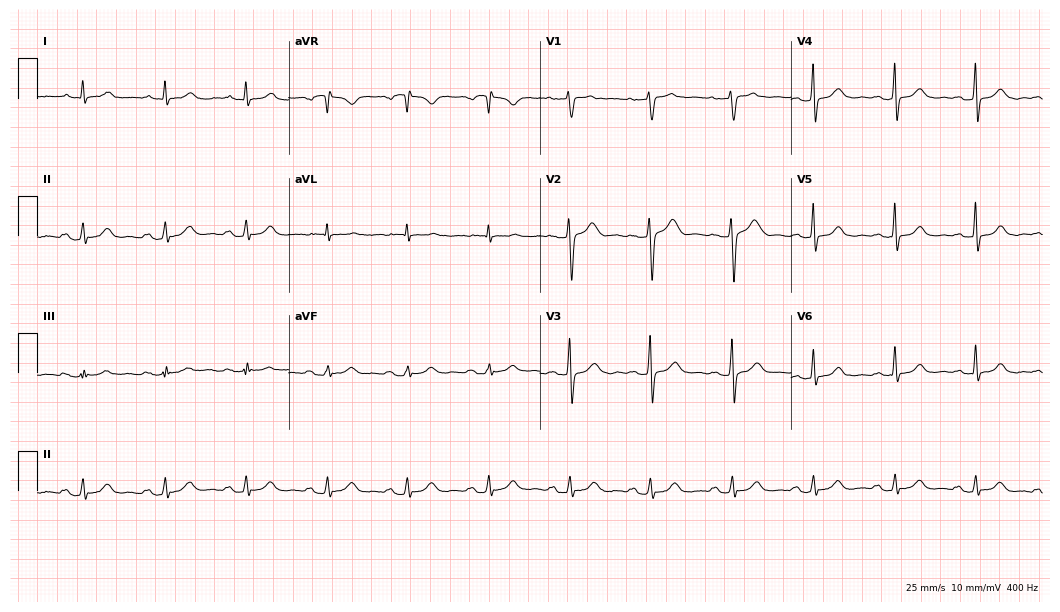
ECG (10.2-second recording at 400 Hz) — a 53-year-old female. Findings include first-degree AV block.